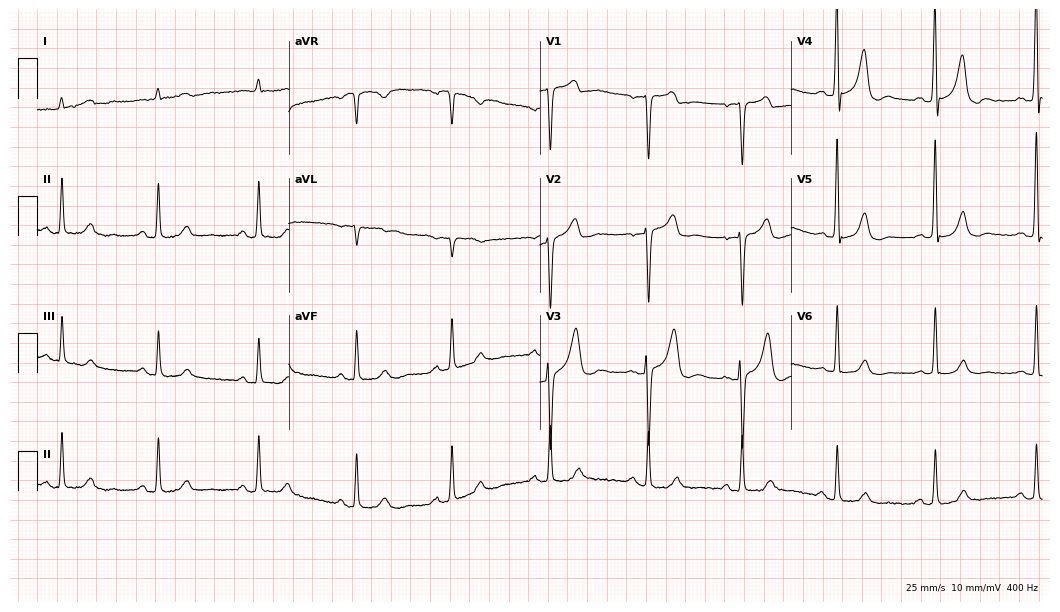
12-lead ECG from a 71-year-old man (10.2-second recording at 400 Hz). Recorded interpretation: within normal limits.